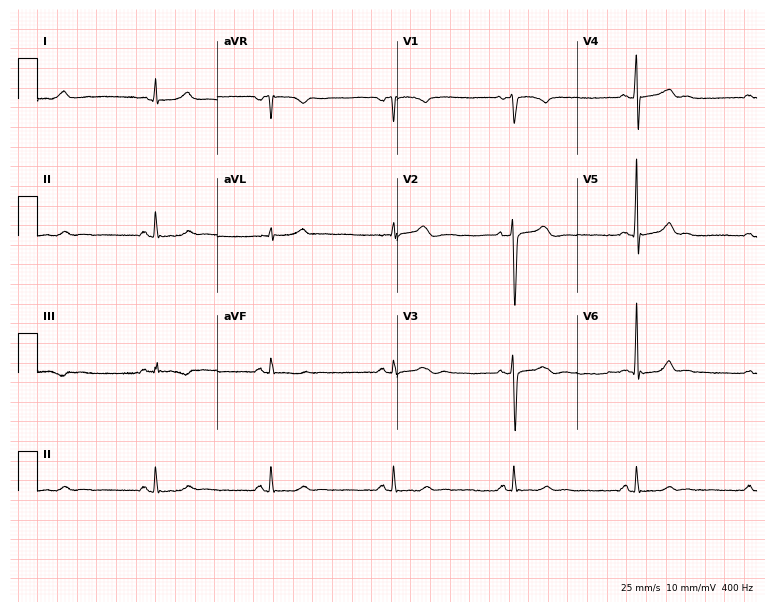
Electrocardiogram (7.3-second recording at 400 Hz), a 44-year-old man. Interpretation includes sinus bradycardia (a sinus rate of 50 beats per minute or less).